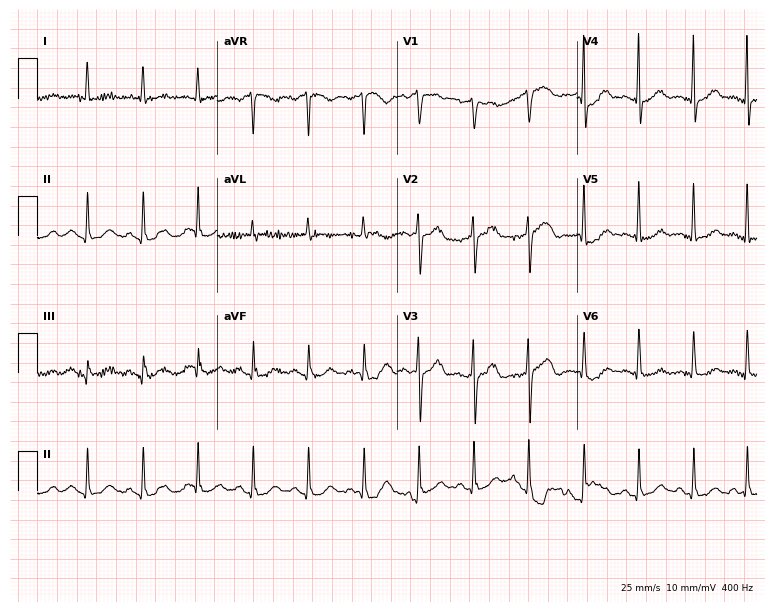
12-lead ECG (7.3-second recording at 400 Hz) from a woman, 76 years old. Findings include sinus tachycardia (a sinus rate of 100 beats per minute or more).